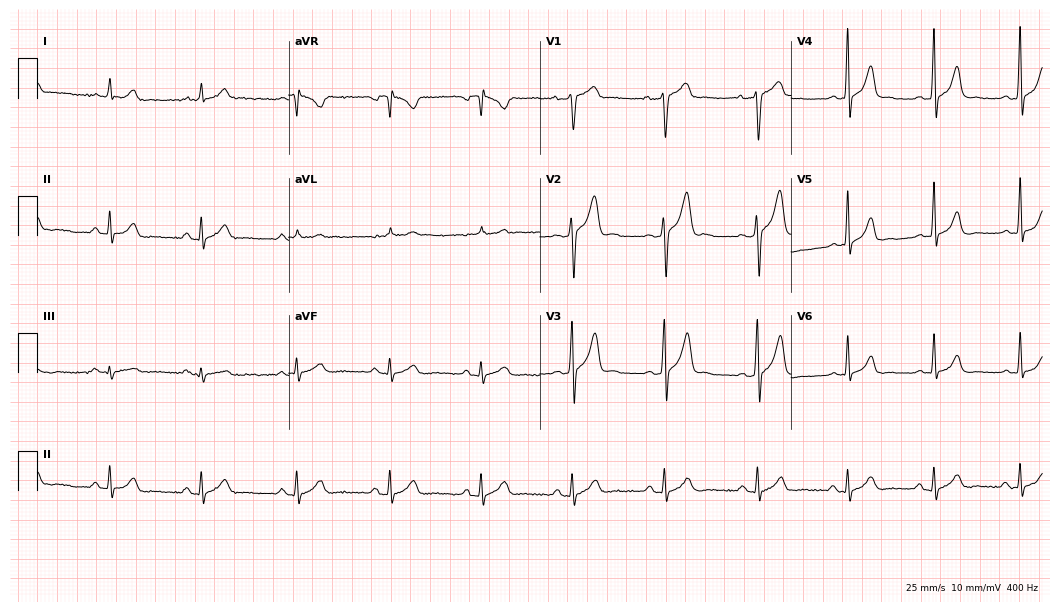
Resting 12-lead electrocardiogram. Patient: a male, 32 years old. Read as a normal ECG.